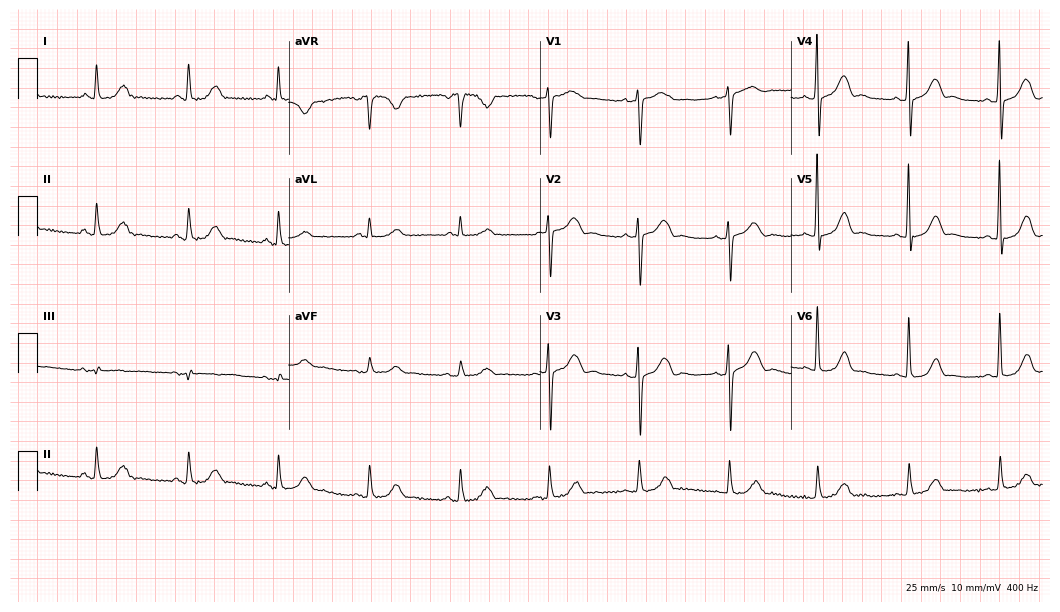
ECG (10.2-second recording at 400 Hz) — a female, 70 years old. Labelled as a normal ECG.